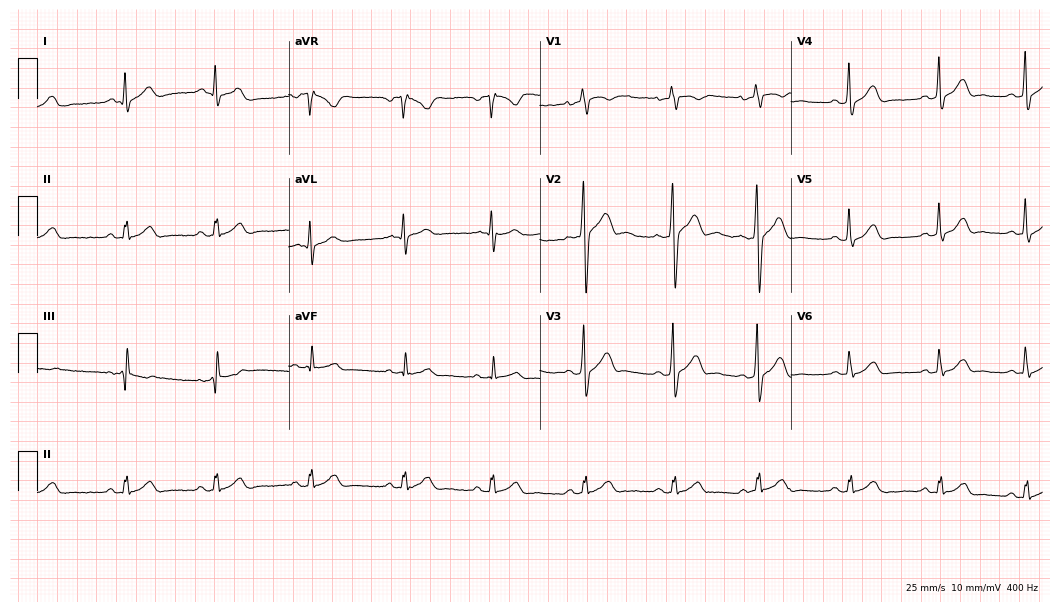
Standard 12-lead ECG recorded from a man, 20 years old. Read as a normal ECG.